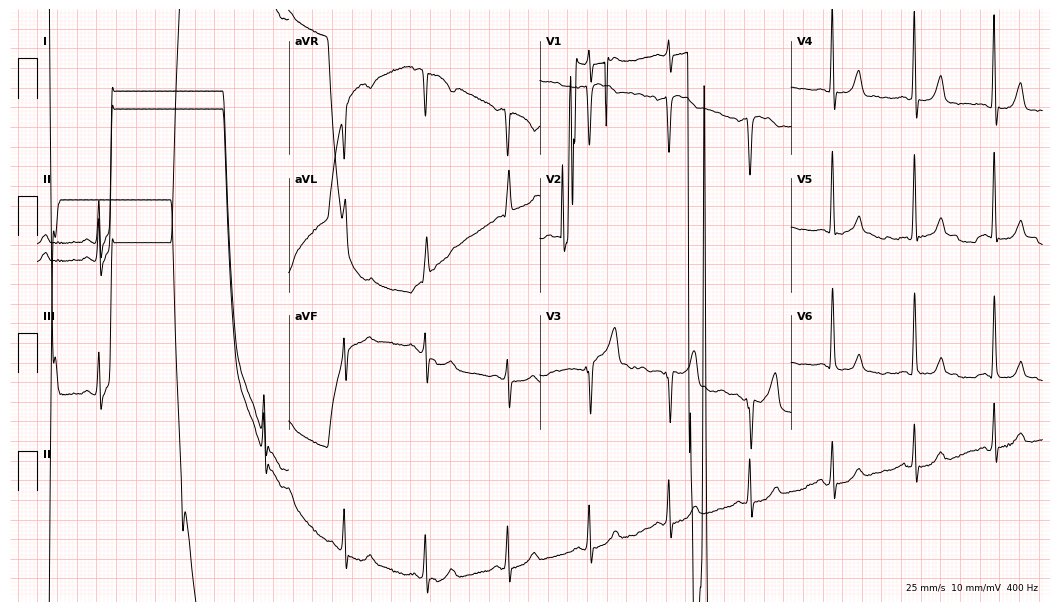
Electrocardiogram (10.2-second recording at 400 Hz), a 52-year-old female. Of the six screened findings (first-degree AV block, right bundle branch block (RBBB), left bundle branch block (LBBB), sinus bradycardia, atrial fibrillation (AF), sinus tachycardia), none is recorded.